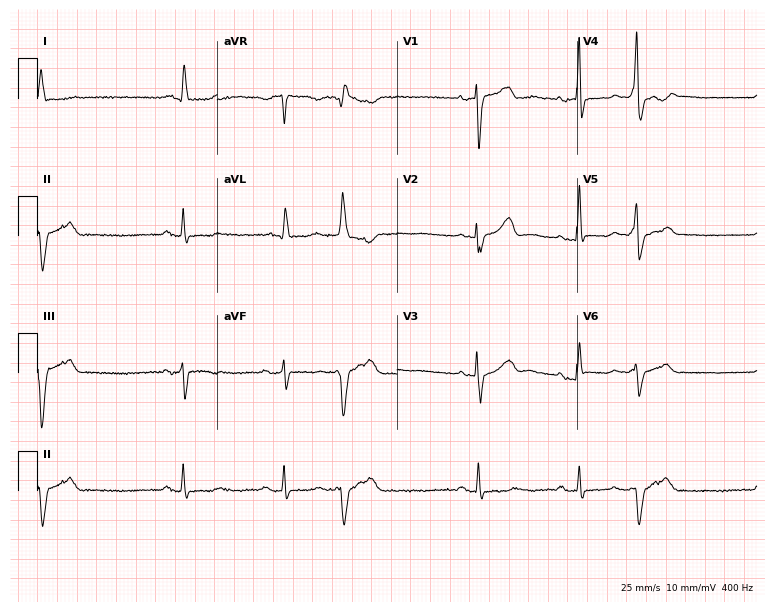
ECG (7.3-second recording at 400 Hz) — a 60-year-old woman. Screened for six findings — first-degree AV block, right bundle branch block (RBBB), left bundle branch block (LBBB), sinus bradycardia, atrial fibrillation (AF), sinus tachycardia — none is recorded.